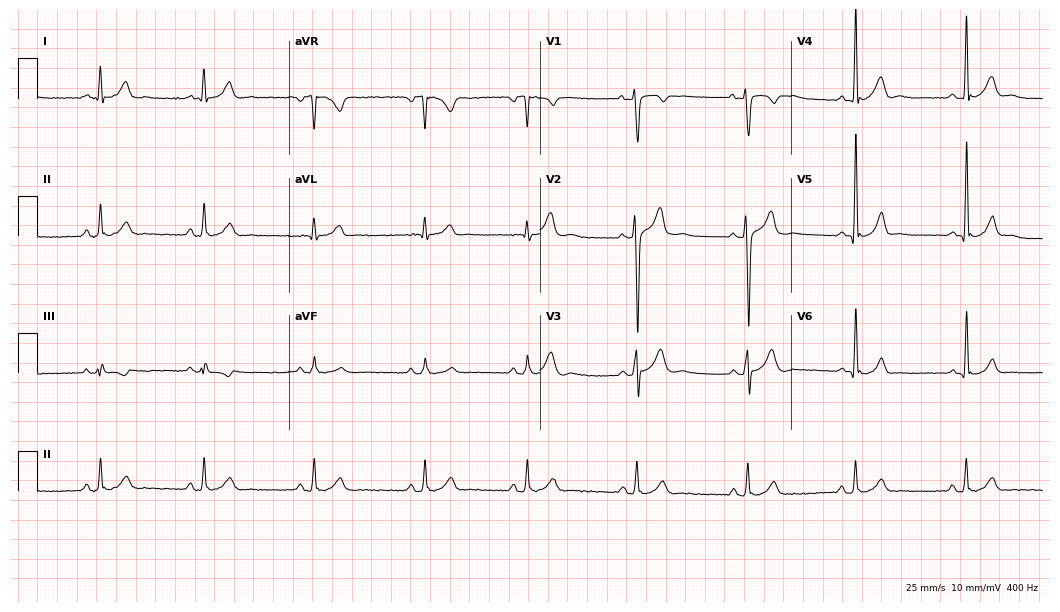
12-lead ECG from a 17-year-old male. Recorded interpretation: within normal limits.